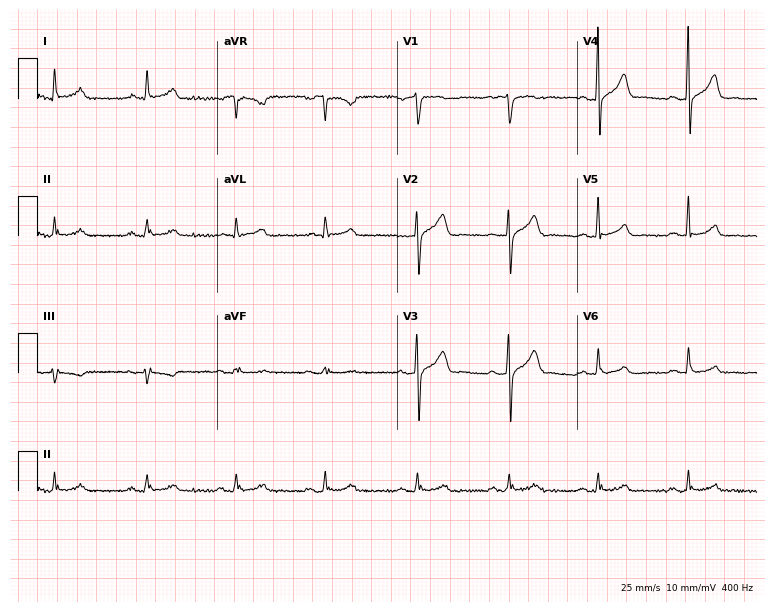
12-lead ECG (7.3-second recording at 400 Hz) from a 59-year-old man. Labelled as a normal ECG.